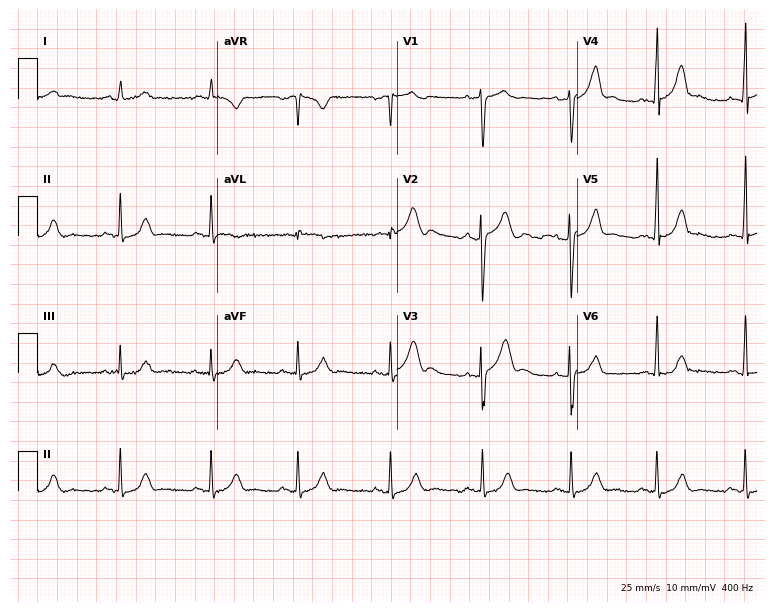
Resting 12-lead electrocardiogram. Patient: a male, 47 years old. None of these six findings is recorded: first-degree AV block, right bundle branch block, left bundle branch block, sinus bradycardia, atrial fibrillation, sinus tachycardia. Only these six findings were labelled.